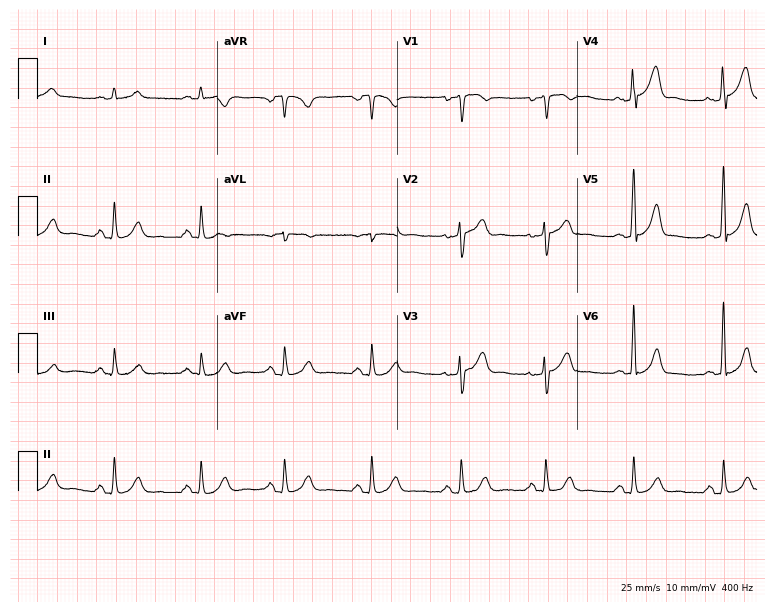
Standard 12-lead ECG recorded from a 67-year-old man (7.3-second recording at 400 Hz). Read as a normal ECG.